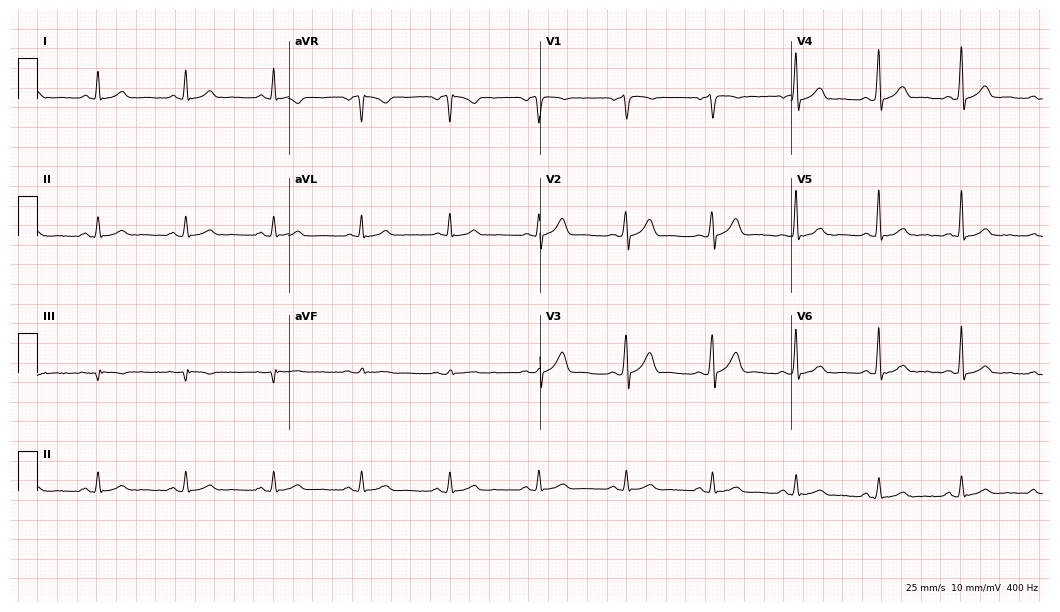
Electrocardiogram (10.2-second recording at 400 Hz), a male patient, 50 years old. Overall reading on record: normal ECG.